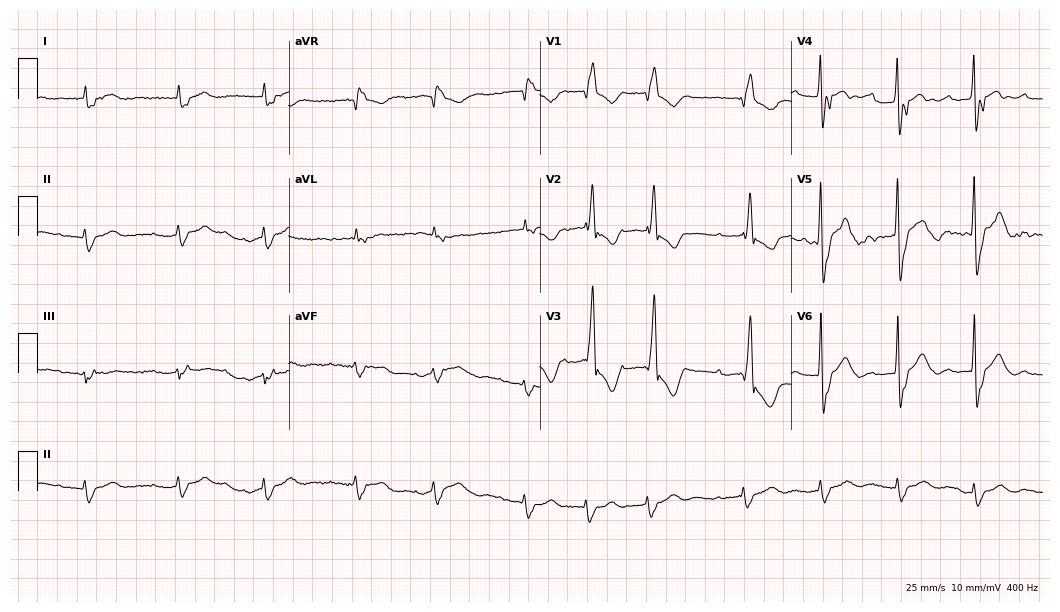
Standard 12-lead ECG recorded from a male, 82 years old (10.2-second recording at 400 Hz). None of these six findings is recorded: first-degree AV block, right bundle branch block (RBBB), left bundle branch block (LBBB), sinus bradycardia, atrial fibrillation (AF), sinus tachycardia. Only these six findings were labelled.